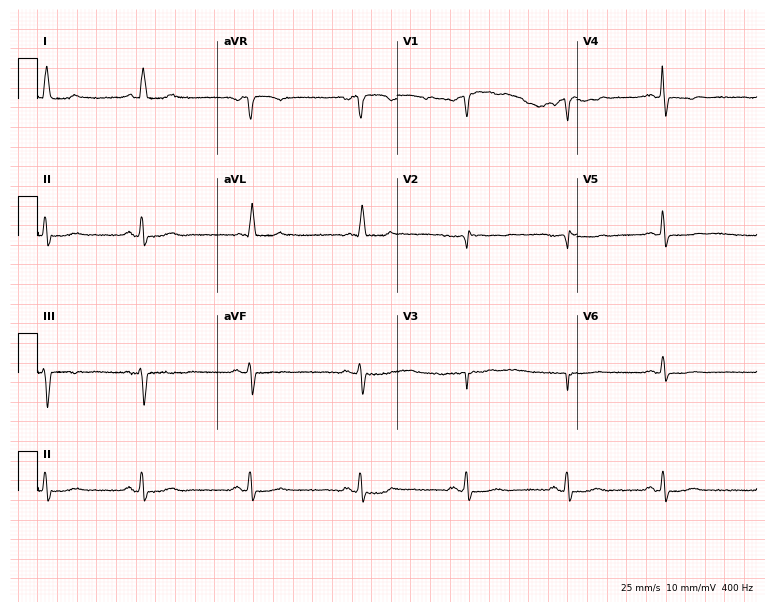
12-lead ECG from a 70-year-old woman (7.3-second recording at 400 Hz). No first-degree AV block, right bundle branch block (RBBB), left bundle branch block (LBBB), sinus bradycardia, atrial fibrillation (AF) or sinus tachycardia recorded for this tracing.